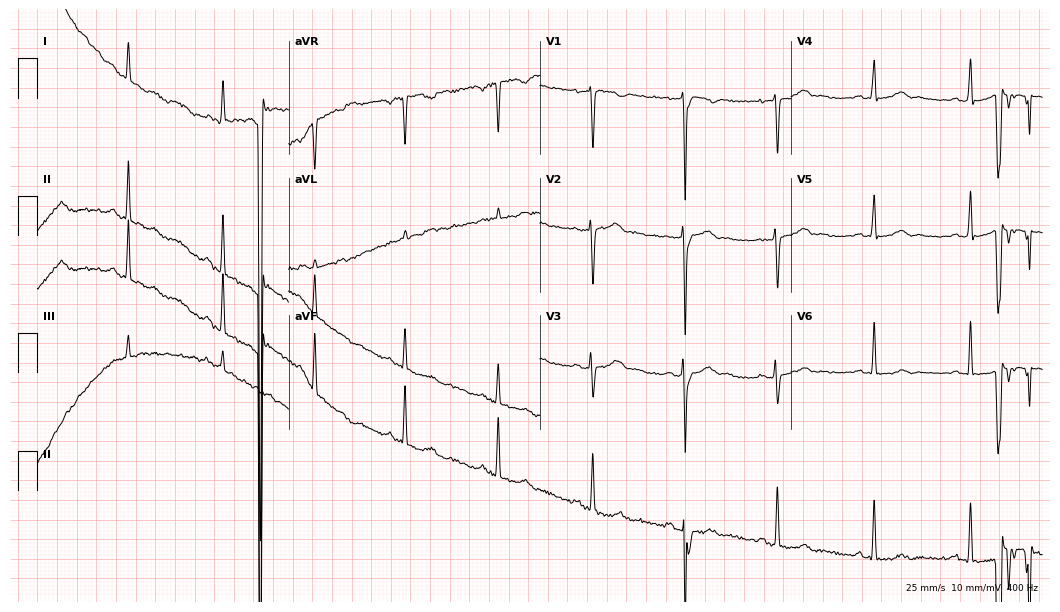
Electrocardiogram (10.2-second recording at 400 Hz), a 36-year-old female patient. Of the six screened findings (first-degree AV block, right bundle branch block, left bundle branch block, sinus bradycardia, atrial fibrillation, sinus tachycardia), none is recorded. Only these six findings were labelled.